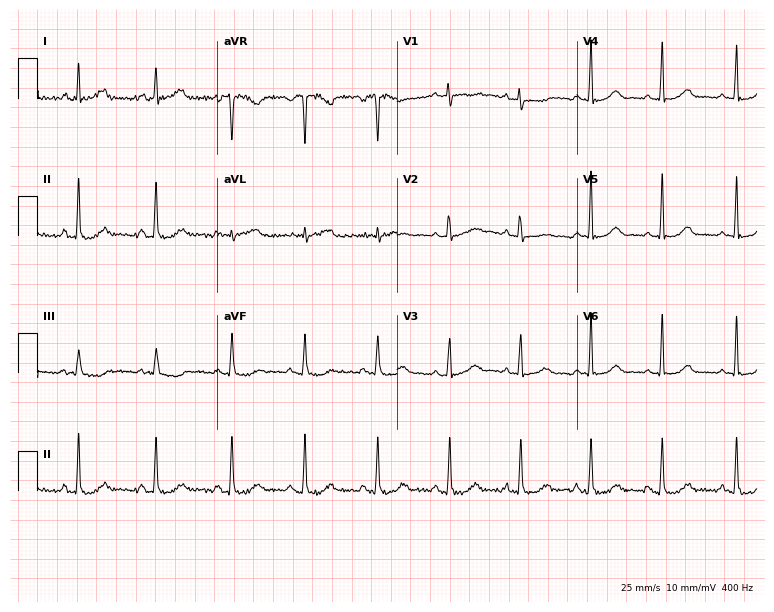
Electrocardiogram, a 28-year-old woman. Overall reading on record: normal ECG.